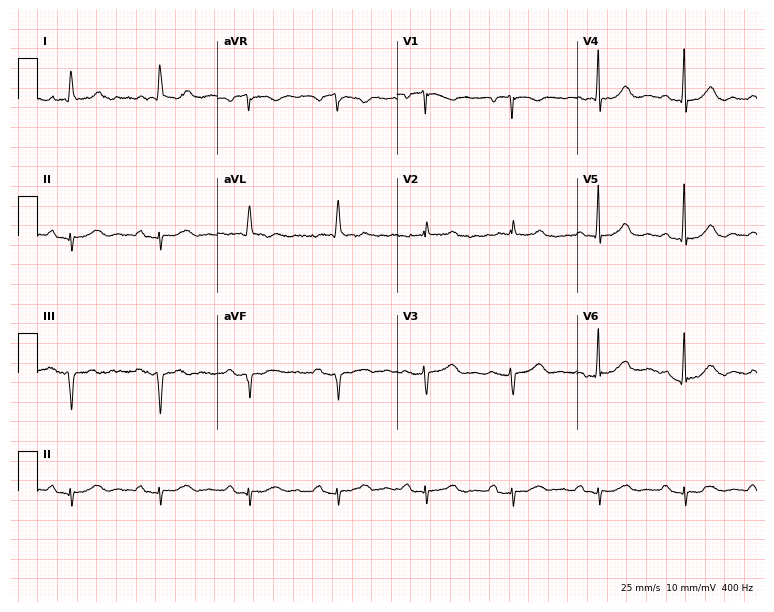
12-lead ECG from an 83-year-old female patient. No first-degree AV block, right bundle branch block, left bundle branch block, sinus bradycardia, atrial fibrillation or sinus tachycardia recorded for this tracing.